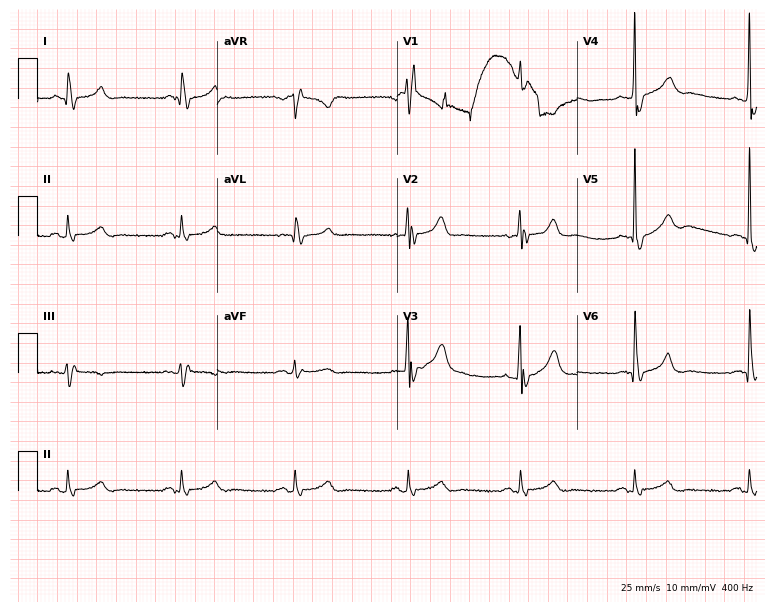
12-lead ECG from a man, 60 years old. Shows right bundle branch block (RBBB).